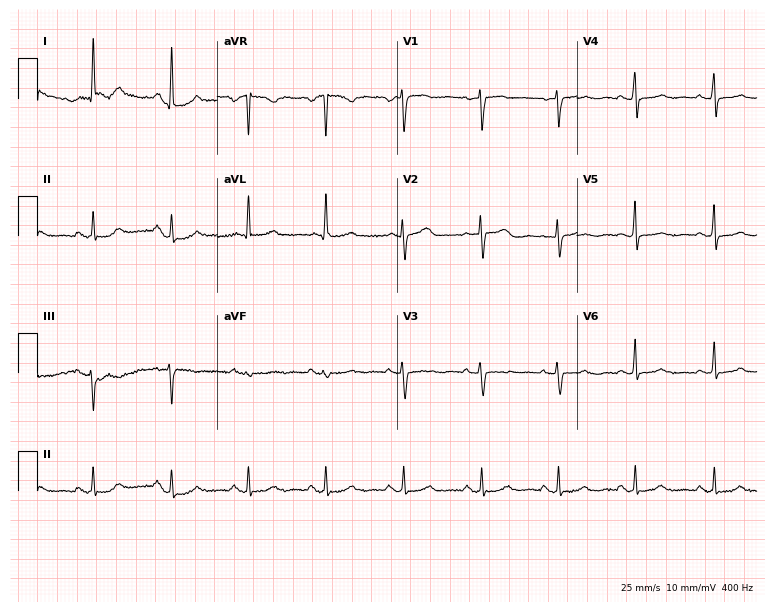
Standard 12-lead ECG recorded from a 73-year-old female patient. Read as a normal ECG.